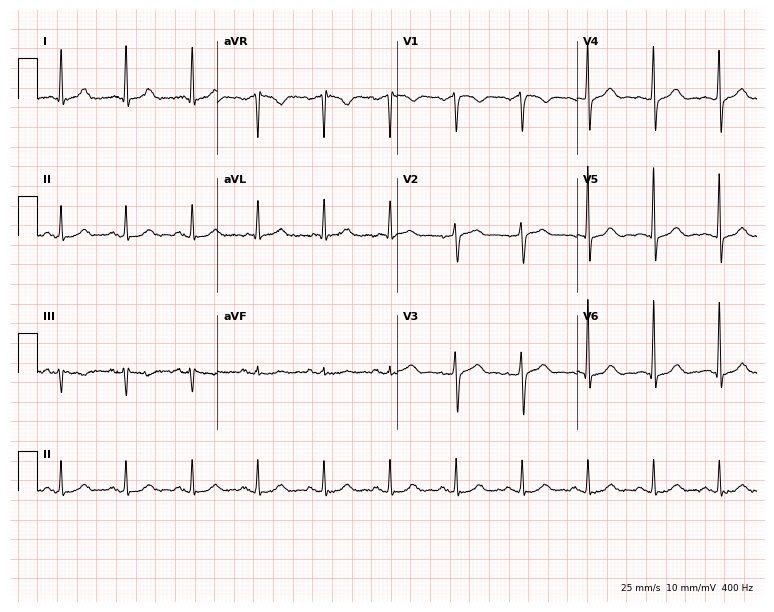
12-lead ECG from a 49-year-old man (7.3-second recording at 400 Hz). No first-degree AV block, right bundle branch block (RBBB), left bundle branch block (LBBB), sinus bradycardia, atrial fibrillation (AF) or sinus tachycardia recorded for this tracing.